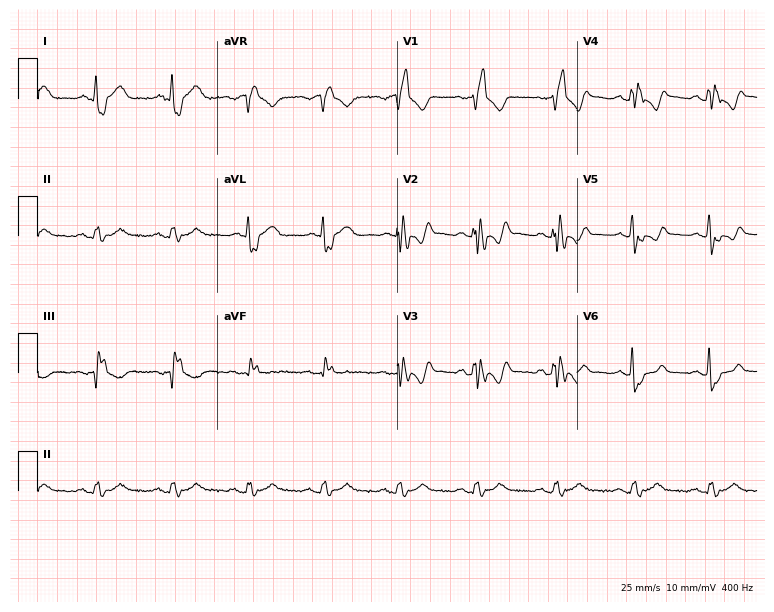
Standard 12-lead ECG recorded from a 63-year-old male (7.3-second recording at 400 Hz). The tracing shows right bundle branch block.